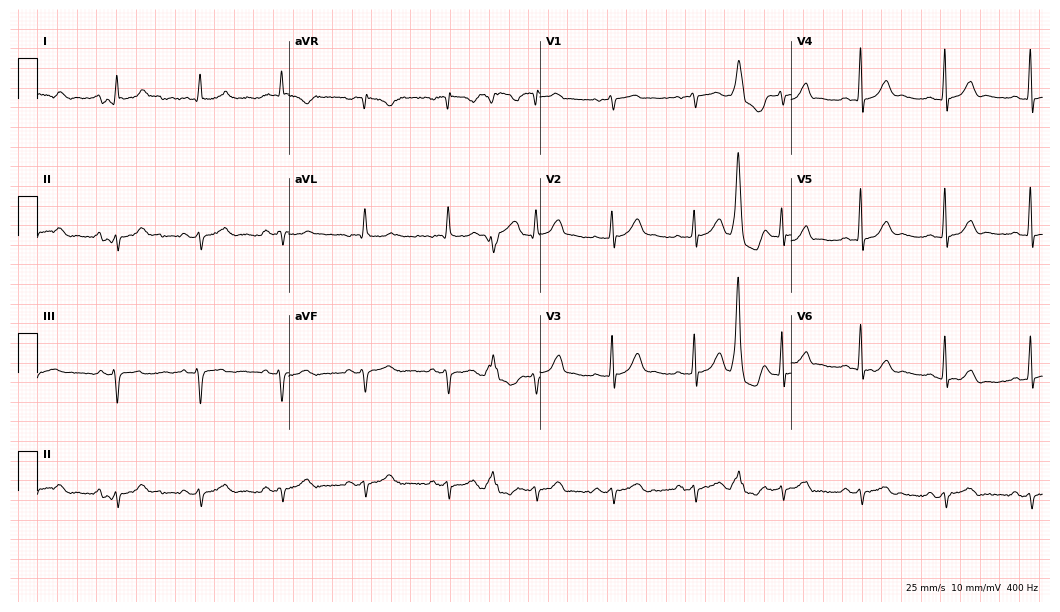
12-lead ECG from a male, 71 years old. Screened for six findings — first-degree AV block, right bundle branch block, left bundle branch block, sinus bradycardia, atrial fibrillation, sinus tachycardia — none is recorded.